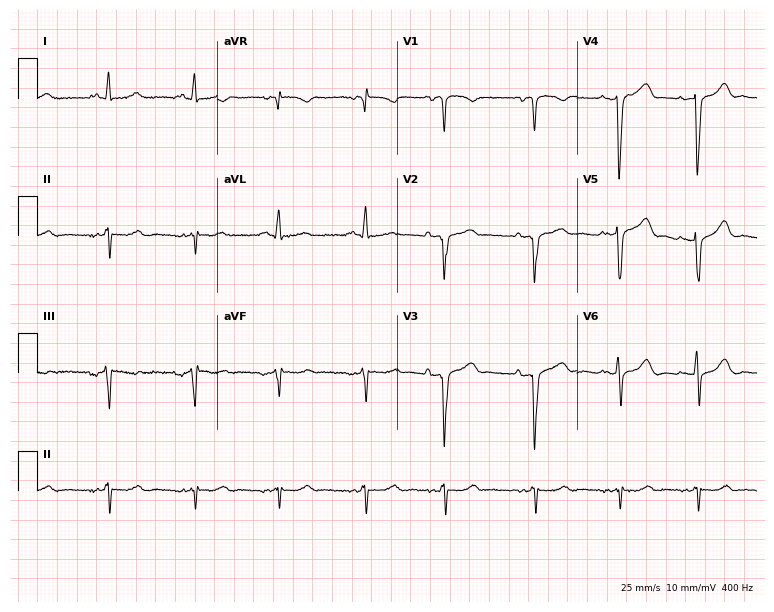
Resting 12-lead electrocardiogram (7.3-second recording at 400 Hz). Patient: a 78-year-old male. None of these six findings is recorded: first-degree AV block, right bundle branch block, left bundle branch block, sinus bradycardia, atrial fibrillation, sinus tachycardia. Only these six findings were labelled.